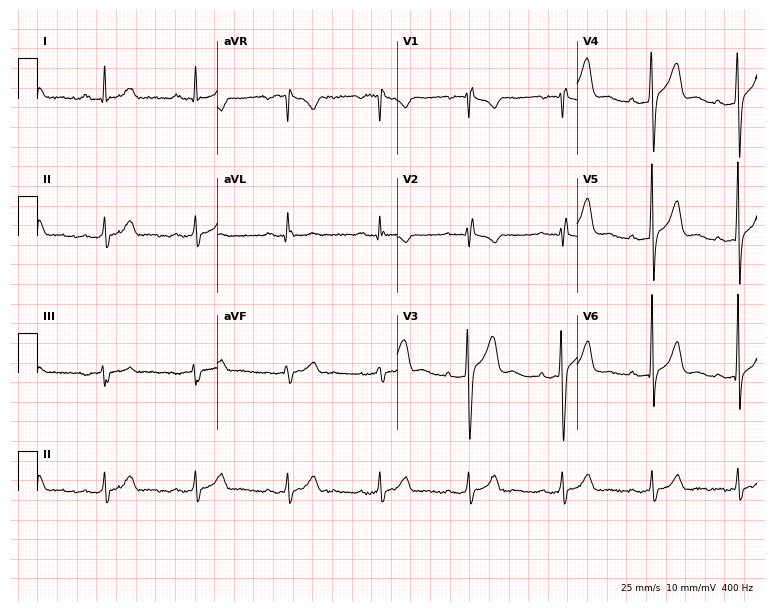
Electrocardiogram, a 41-year-old male patient. Of the six screened findings (first-degree AV block, right bundle branch block, left bundle branch block, sinus bradycardia, atrial fibrillation, sinus tachycardia), none is recorded.